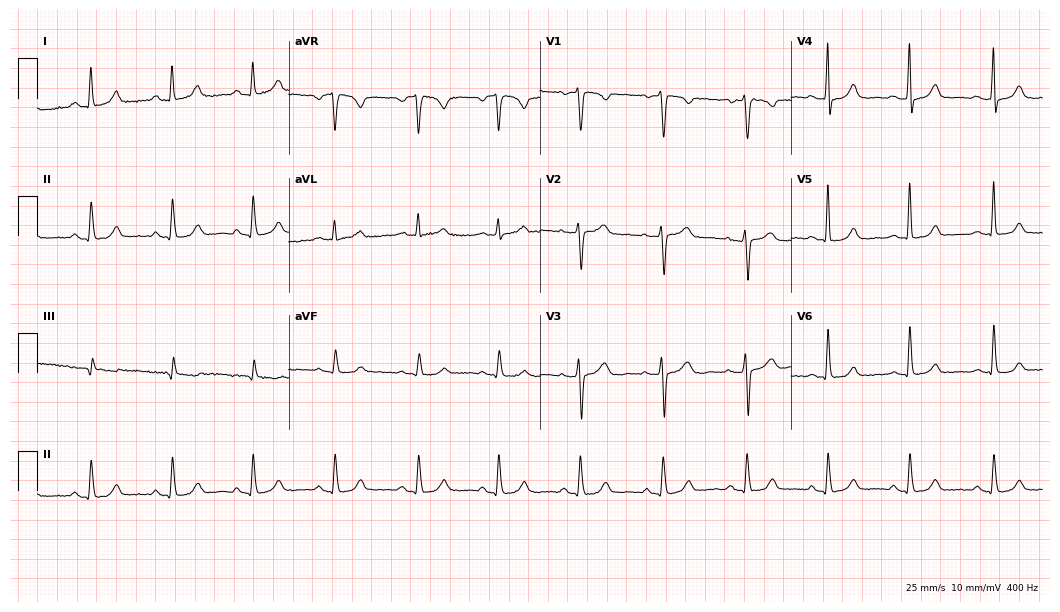
12-lead ECG from a 56-year-old woman. Recorded interpretation: within normal limits.